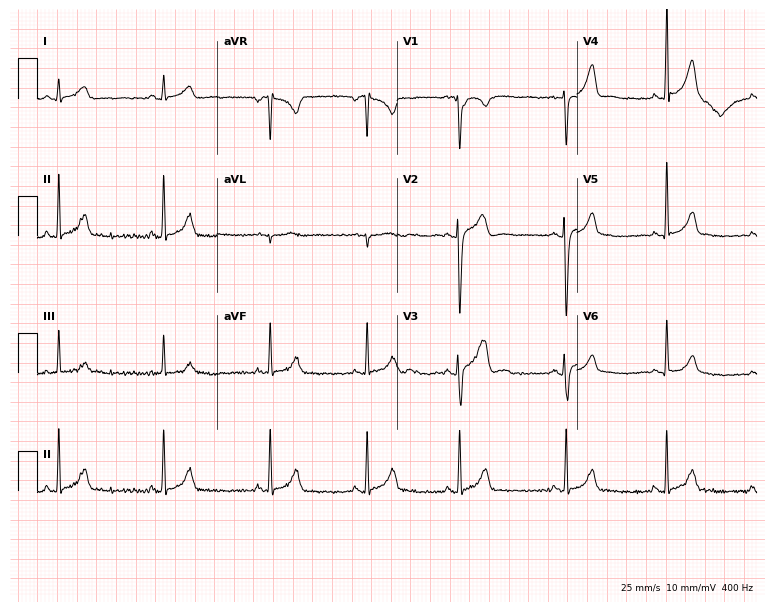
12-lead ECG from a male, 26 years old. Labelled as a normal ECG.